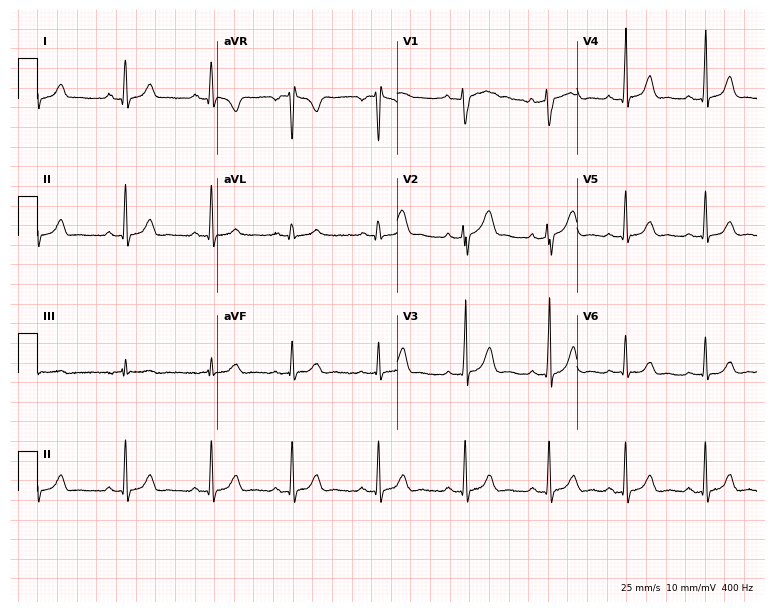
Resting 12-lead electrocardiogram. Patient: a 25-year-old woman. None of these six findings is recorded: first-degree AV block, right bundle branch block, left bundle branch block, sinus bradycardia, atrial fibrillation, sinus tachycardia. Findings outside these six are not listed.